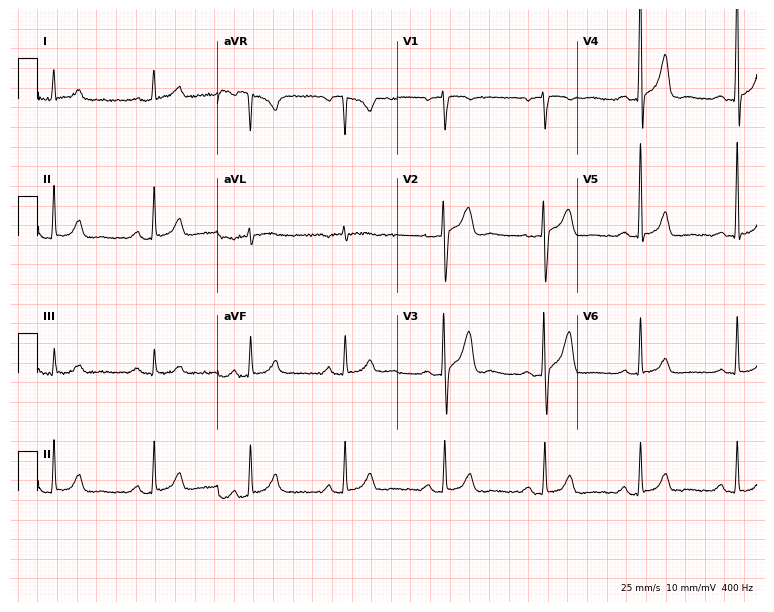
Electrocardiogram, a 48-year-old male patient. Overall reading on record: normal ECG.